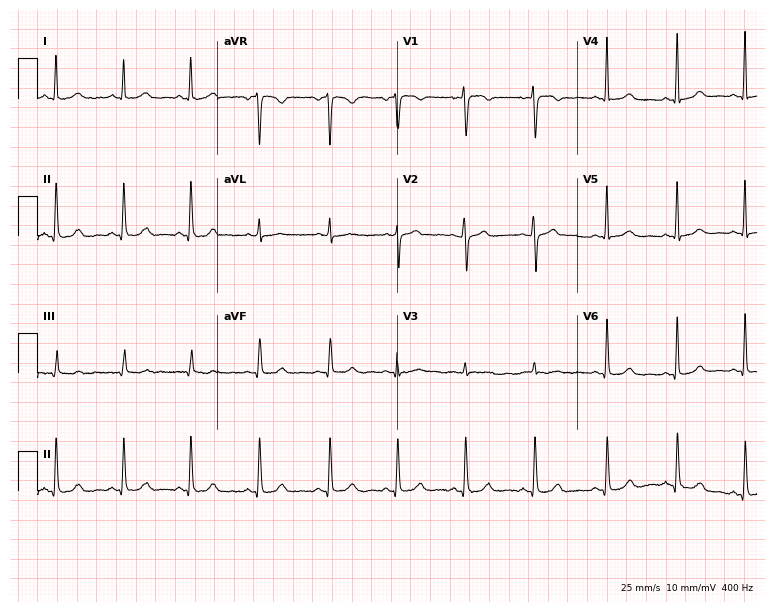
12-lead ECG from a female patient, 54 years old. No first-degree AV block, right bundle branch block (RBBB), left bundle branch block (LBBB), sinus bradycardia, atrial fibrillation (AF) or sinus tachycardia recorded for this tracing.